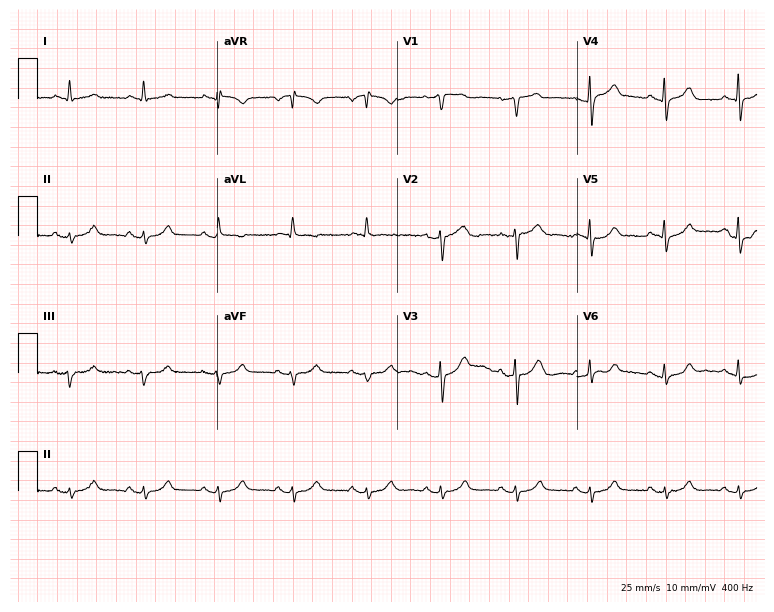
Resting 12-lead electrocardiogram (7.3-second recording at 400 Hz). Patient: an 81-year-old male. None of these six findings is recorded: first-degree AV block, right bundle branch block, left bundle branch block, sinus bradycardia, atrial fibrillation, sinus tachycardia. Only these six findings were labelled.